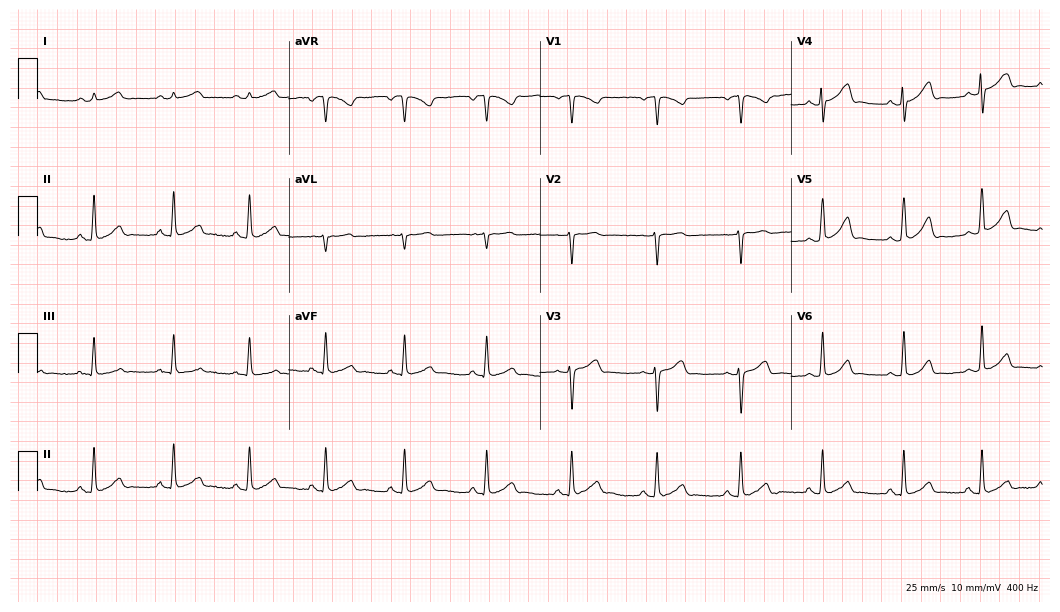
Standard 12-lead ECG recorded from a 29-year-old female. None of these six findings is recorded: first-degree AV block, right bundle branch block, left bundle branch block, sinus bradycardia, atrial fibrillation, sinus tachycardia.